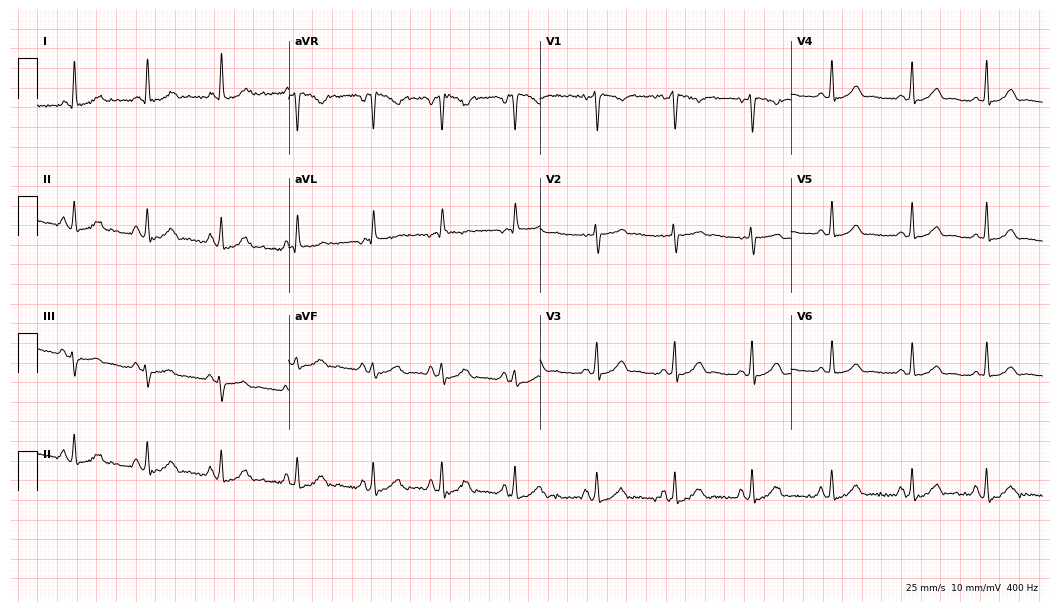
Standard 12-lead ECG recorded from a female patient, 19 years old. Read as a normal ECG.